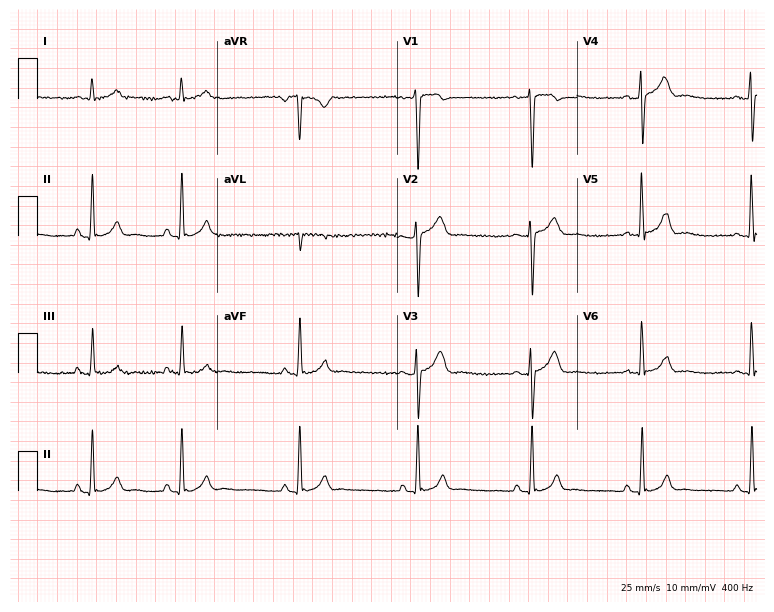
12-lead ECG from a 32-year-old male patient (7.3-second recording at 400 Hz). No first-degree AV block, right bundle branch block, left bundle branch block, sinus bradycardia, atrial fibrillation or sinus tachycardia recorded for this tracing. Other findings, if any, are not listed.